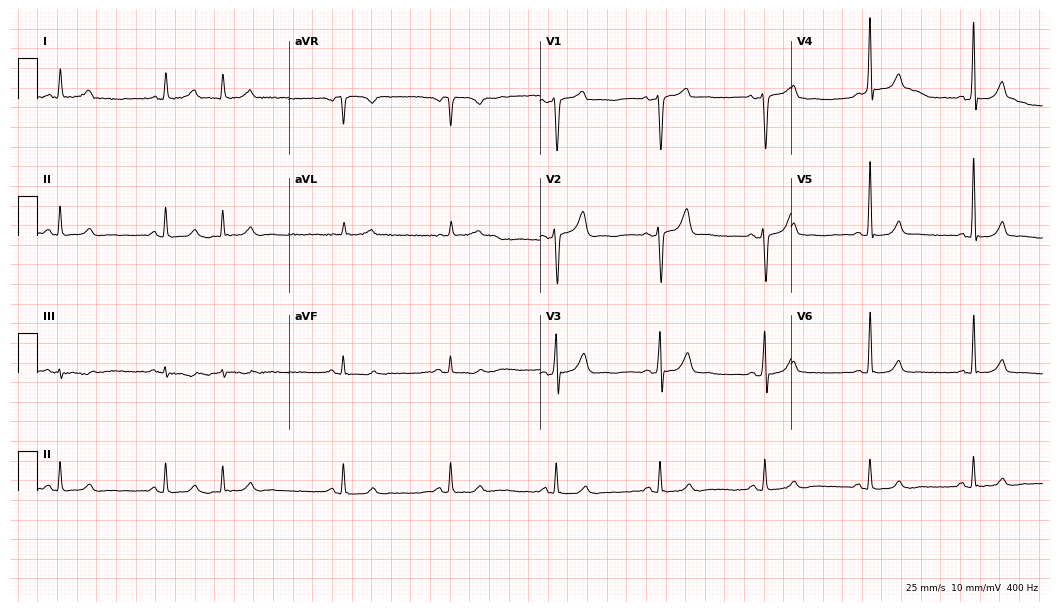
12-lead ECG (10.2-second recording at 400 Hz) from a man, 64 years old. Screened for six findings — first-degree AV block, right bundle branch block, left bundle branch block, sinus bradycardia, atrial fibrillation, sinus tachycardia — none is recorded. Findings outside these six are not listed.